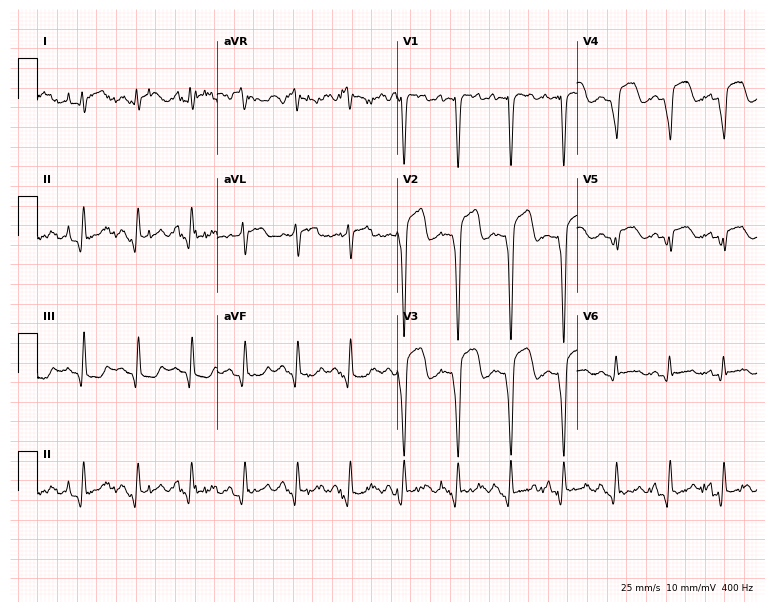
12-lead ECG from a 52-year-old female patient (7.3-second recording at 400 Hz). Shows sinus tachycardia (a sinus rate of 100 beats per minute or more).